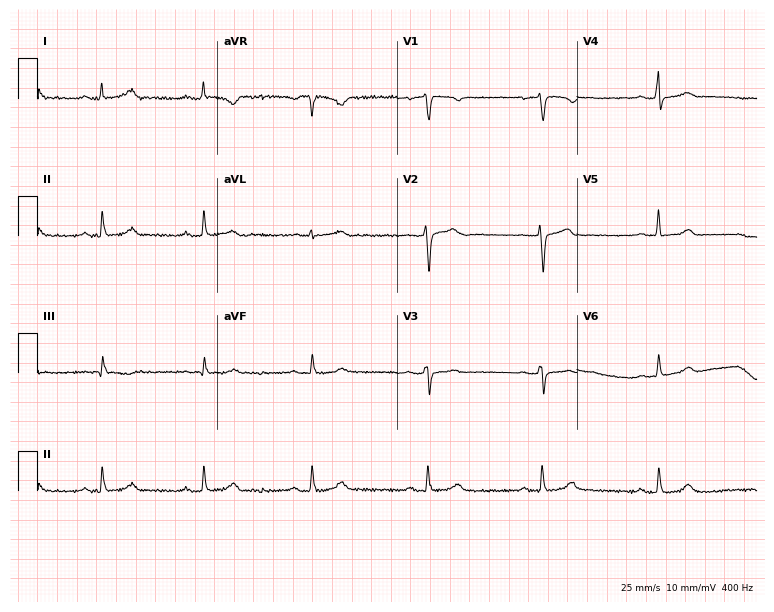
Standard 12-lead ECG recorded from a 33-year-old female (7.3-second recording at 400 Hz). Read as a normal ECG.